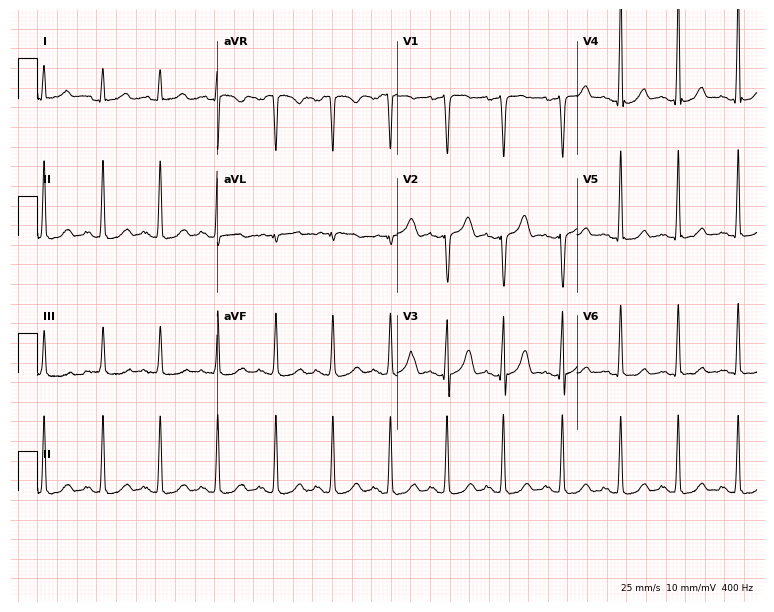
Standard 12-lead ECG recorded from a 23-year-old female patient. The tracing shows sinus tachycardia (a sinus rate of 100 beats per minute or more).